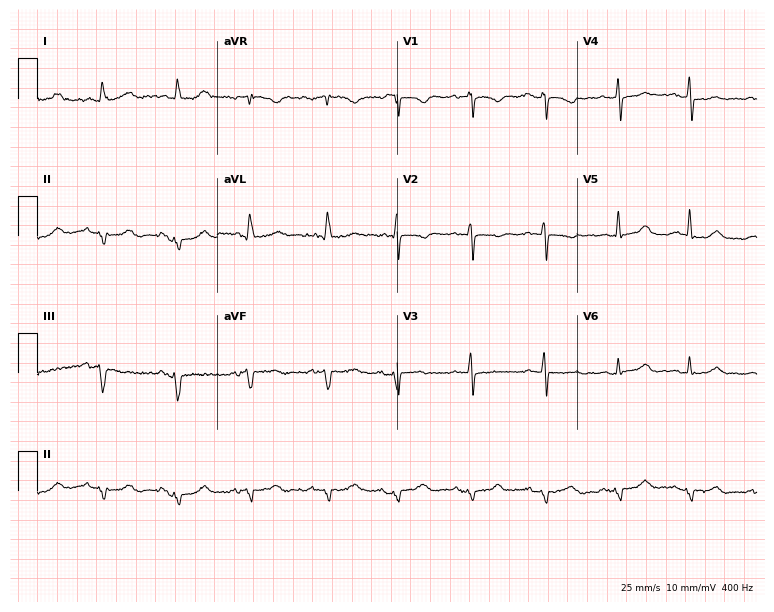
Standard 12-lead ECG recorded from a female patient, 81 years old. None of these six findings is recorded: first-degree AV block, right bundle branch block (RBBB), left bundle branch block (LBBB), sinus bradycardia, atrial fibrillation (AF), sinus tachycardia. Other findings, if any, are not listed.